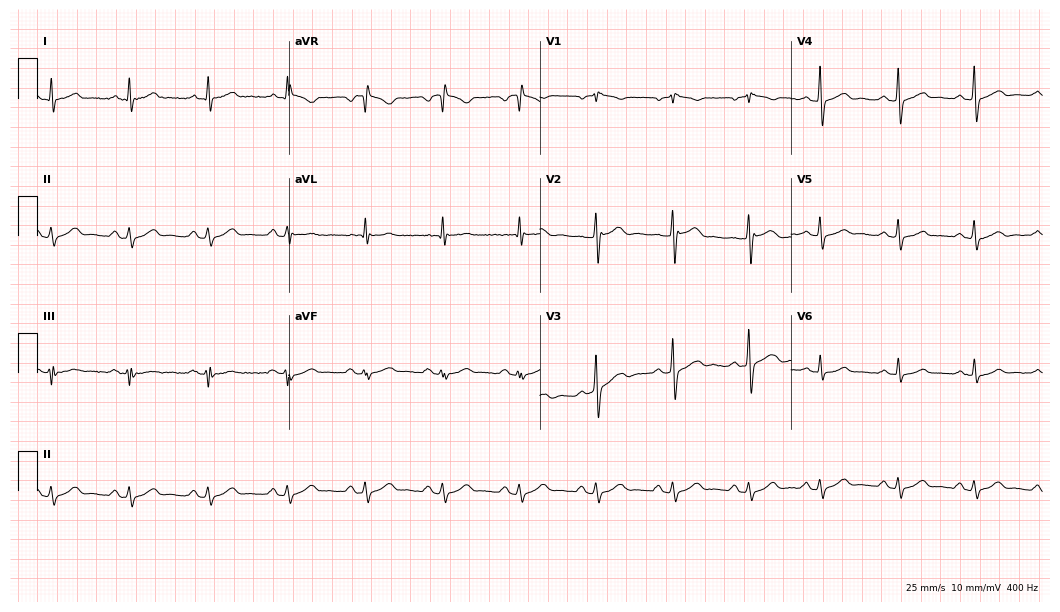
ECG (10.2-second recording at 400 Hz) — a 56-year-old man. Screened for six findings — first-degree AV block, right bundle branch block, left bundle branch block, sinus bradycardia, atrial fibrillation, sinus tachycardia — none is recorded. Other findings, if any, are not listed.